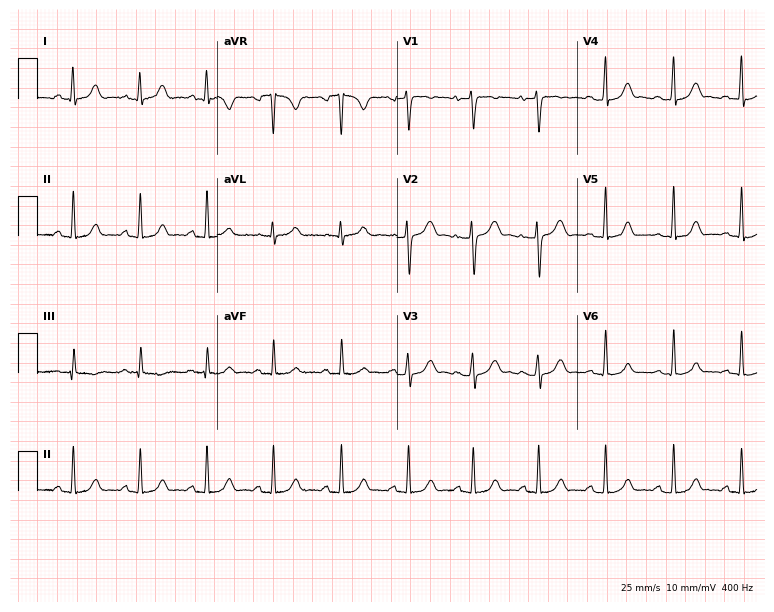
12-lead ECG (7.3-second recording at 400 Hz) from a female patient, 22 years old. Labelled as a normal ECG.